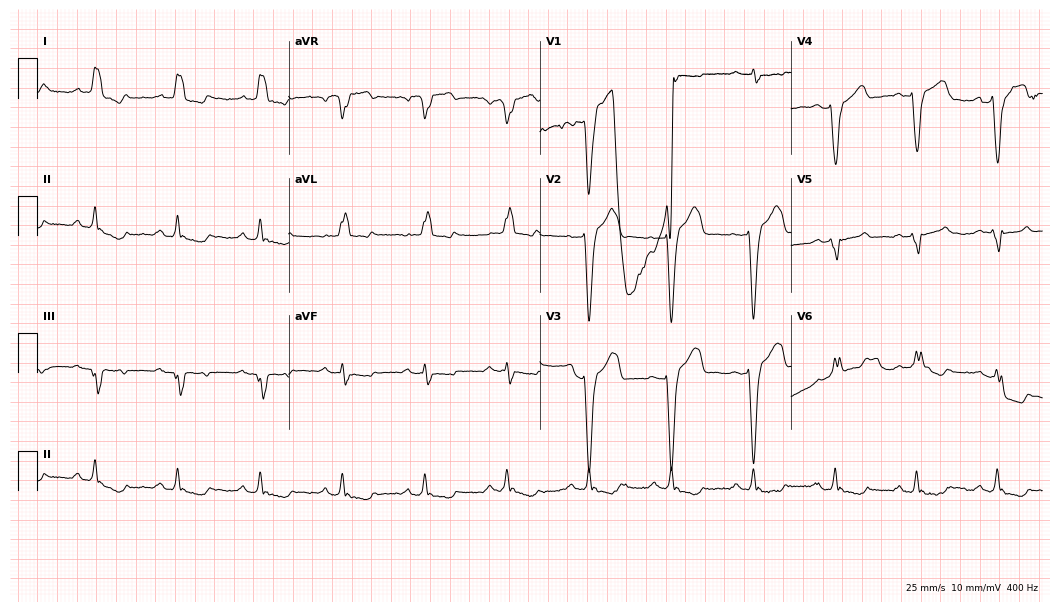
Resting 12-lead electrocardiogram. Patient: a 63-year-old male. None of these six findings is recorded: first-degree AV block, right bundle branch block, left bundle branch block, sinus bradycardia, atrial fibrillation, sinus tachycardia.